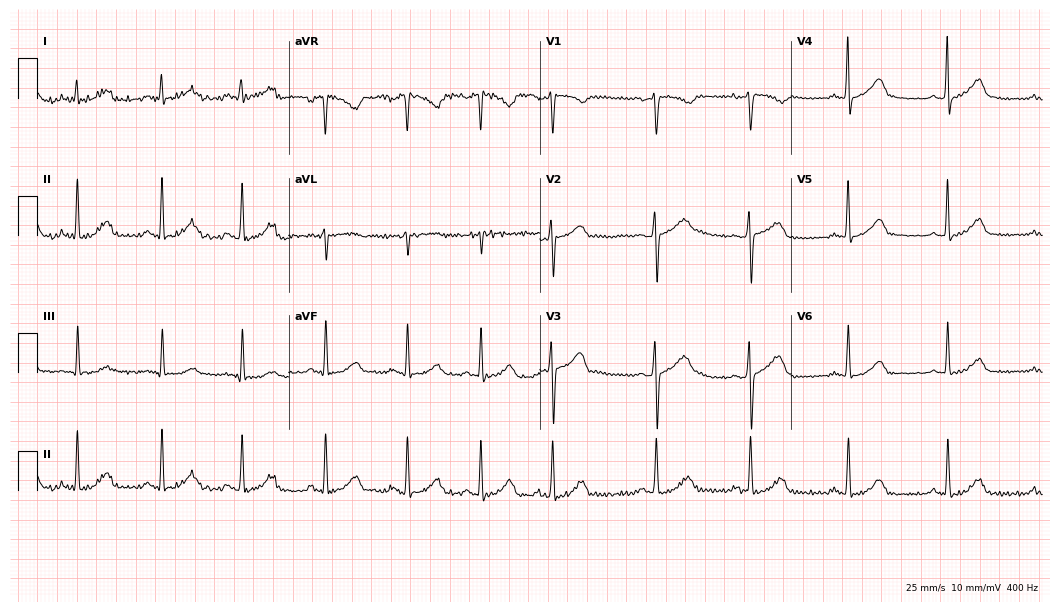
Resting 12-lead electrocardiogram. Patient: a 21-year-old woman. None of these six findings is recorded: first-degree AV block, right bundle branch block, left bundle branch block, sinus bradycardia, atrial fibrillation, sinus tachycardia.